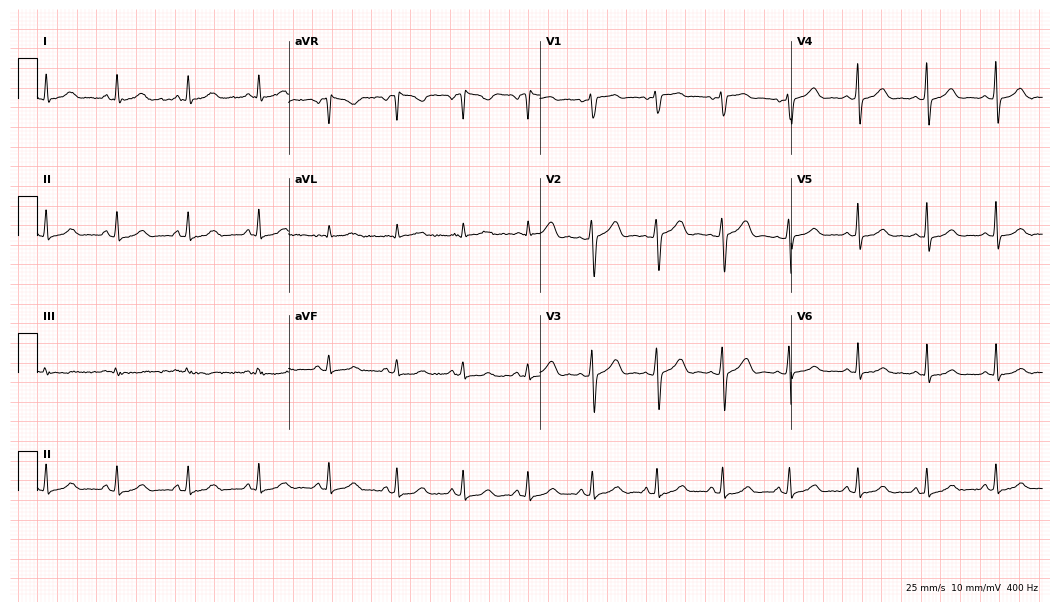
Electrocardiogram, a female patient, 46 years old. Of the six screened findings (first-degree AV block, right bundle branch block (RBBB), left bundle branch block (LBBB), sinus bradycardia, atrial fibrillation (AF), sinus tachycardia), none is recorded.